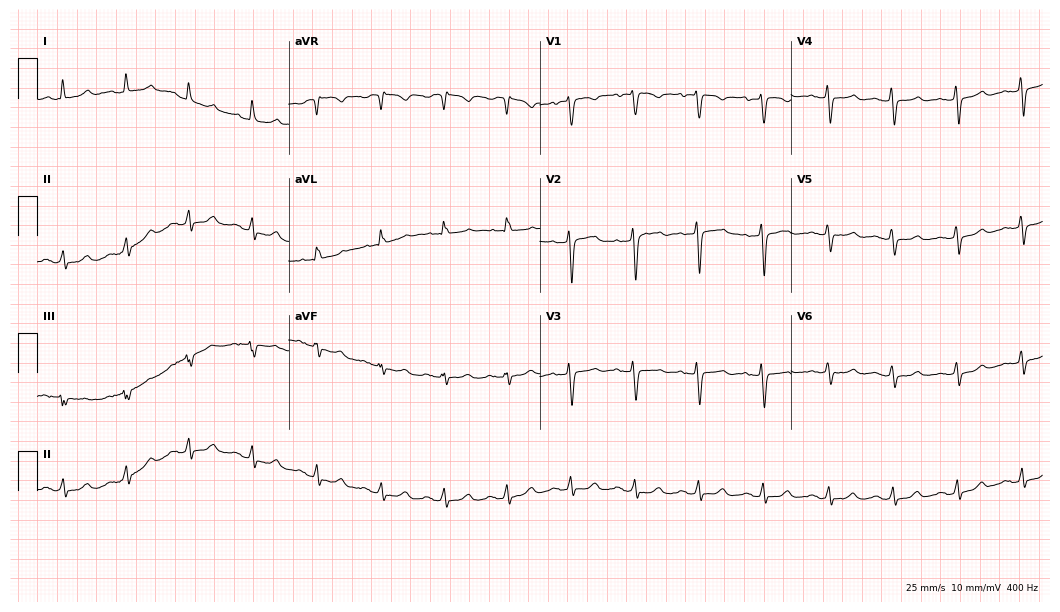
12-lead ECG from a female patient, 46 years old. No first-degree AV block, right bundle branch block, left bundle branch block, sinus bradycardia, atrial fibrillation or sinus tachycardia recorded for this tracing. Findings outside these six are not listed.